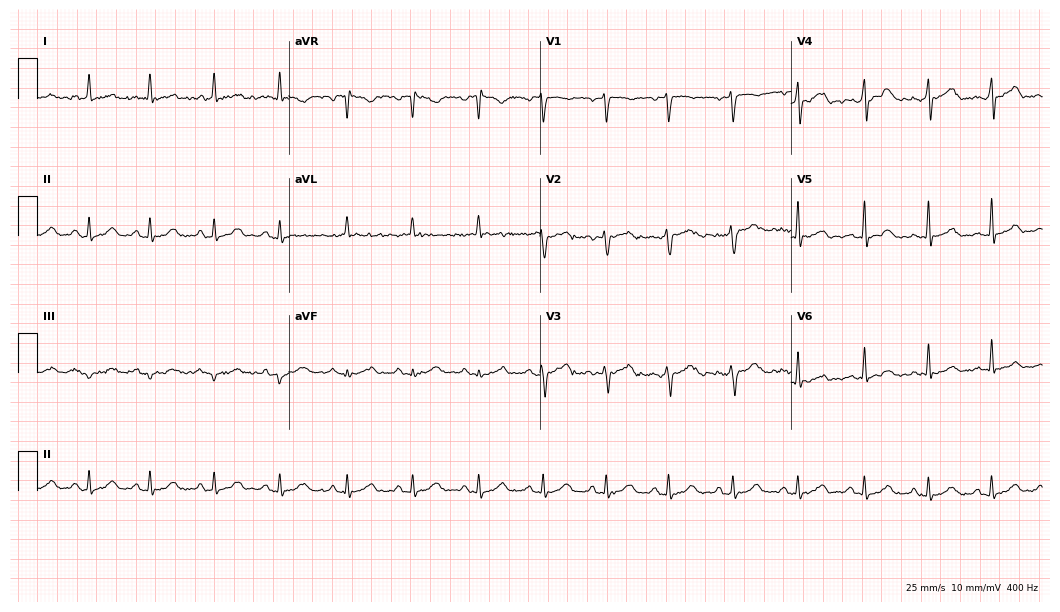
Resting 12-lead electrocardiogram. Patient: a 43-year-old female. Read as a normal ECG.